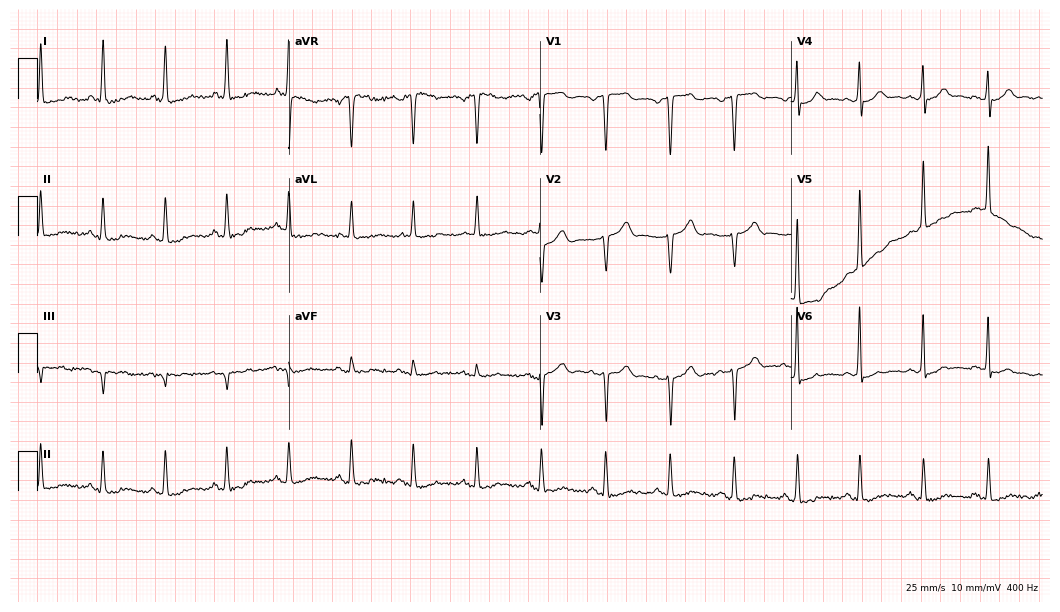
Resting 12-lead electrocardiogram (10.2-second recording at 400 Hz). Patient: a 60-year-old female. None of these six findings is recorded: first-degree AV block, right bundle branch block, left bundle branch block, sinus bradycardia, atrial fibrillation, sinus tachycardia.